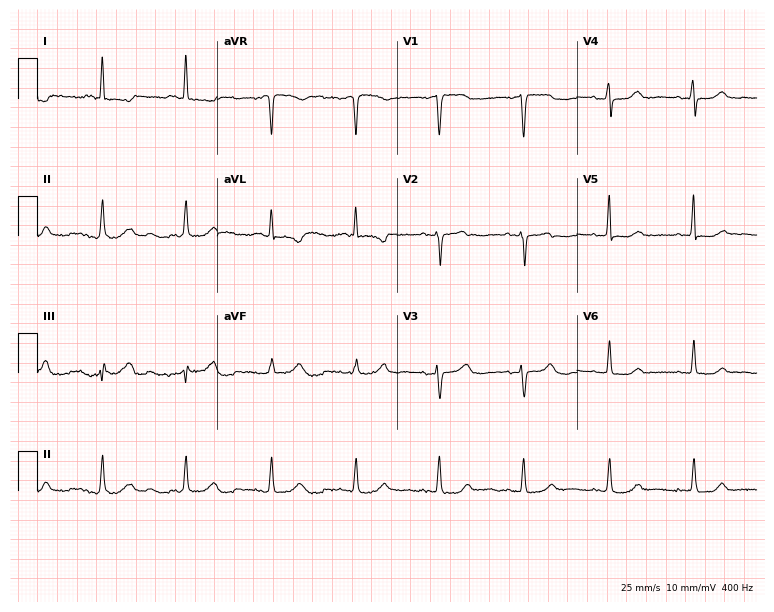
12-lead ECG from a 76-year-old female patient. Screened for six findings — first-degree AV block, right bundle branch block, left bundle branch block, sinus bradycardia, atrial fibrillation, sinus tachycardia — none is recorded.